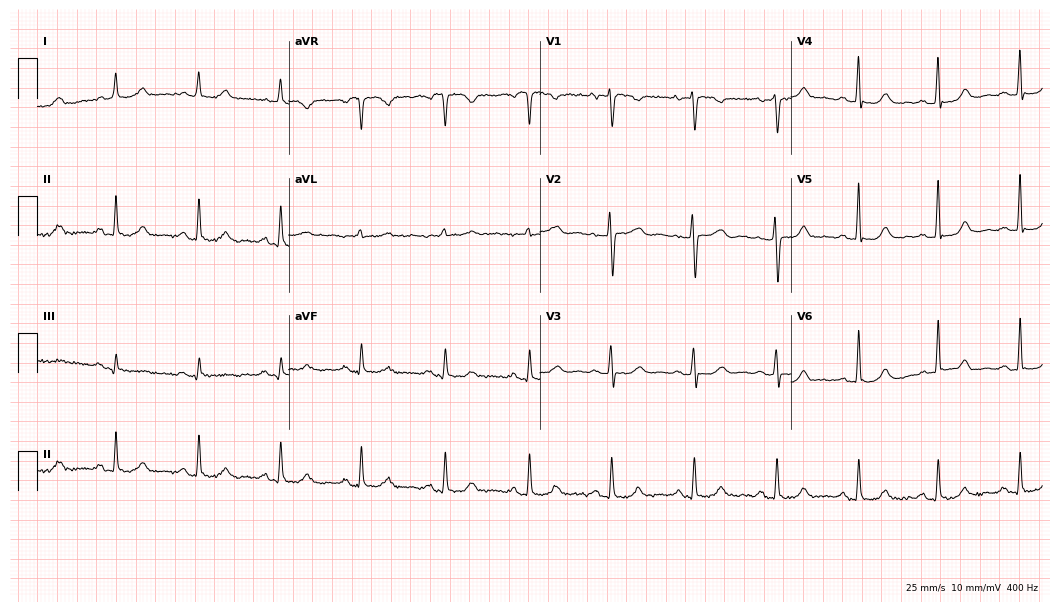
12-lead ECG from a 56-year-old female patient. Labelled as a normal ECG.